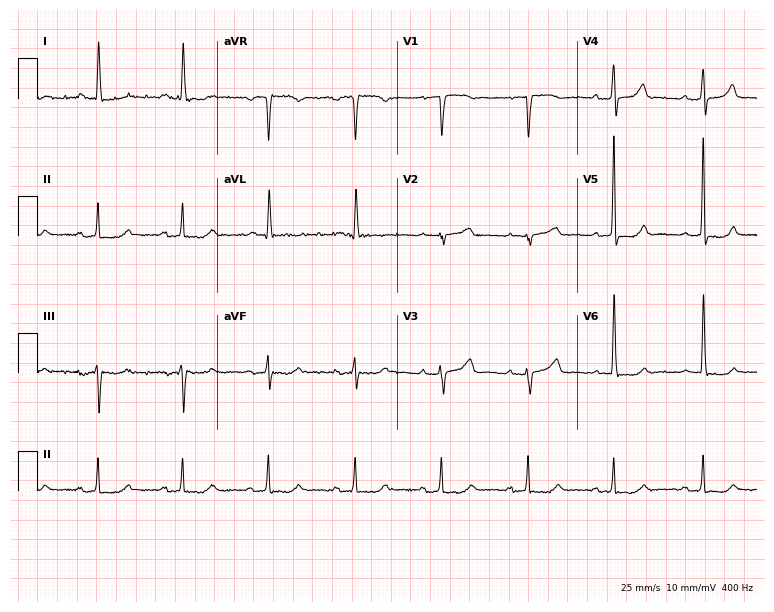
12-lead ECG from a 70-year-old female patient. No first-degree AV block, right bundle branch block, left bundle branch block, sinus bradycardia, atrial fibrillation or sinus tachycardia recorded for this tracing. Other findings, if any, are not listed.